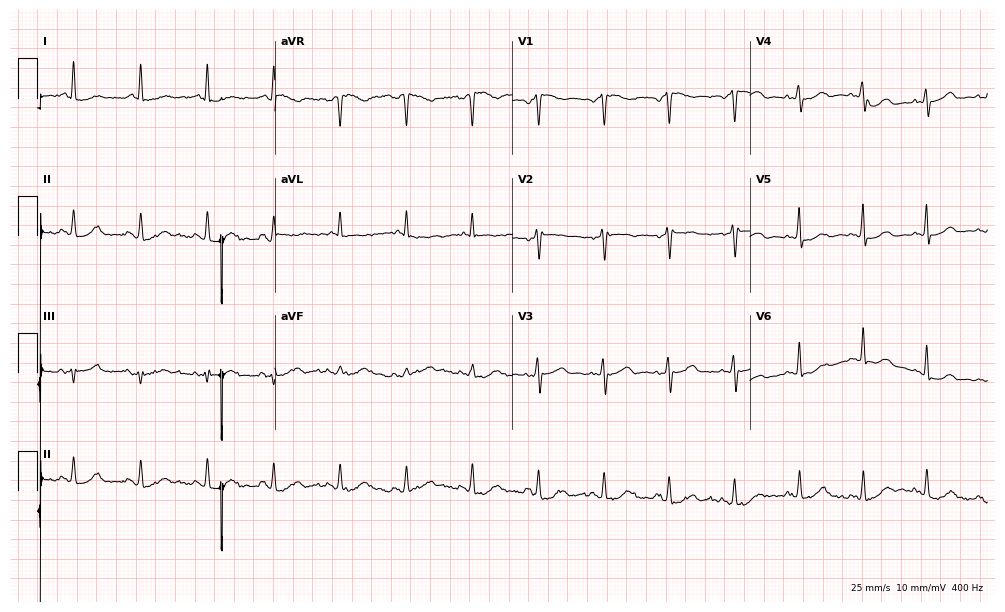
Electrocardiogram, a female, 78 years old. Of the six screened findings (first-degree AV block, right bundle branch block (RBBB), left bundle branch block (LBBB), sinus bradycardia, atrial fibrillation (AF), sinus tachycardia), none is recorded. Only these six findings were labelled.